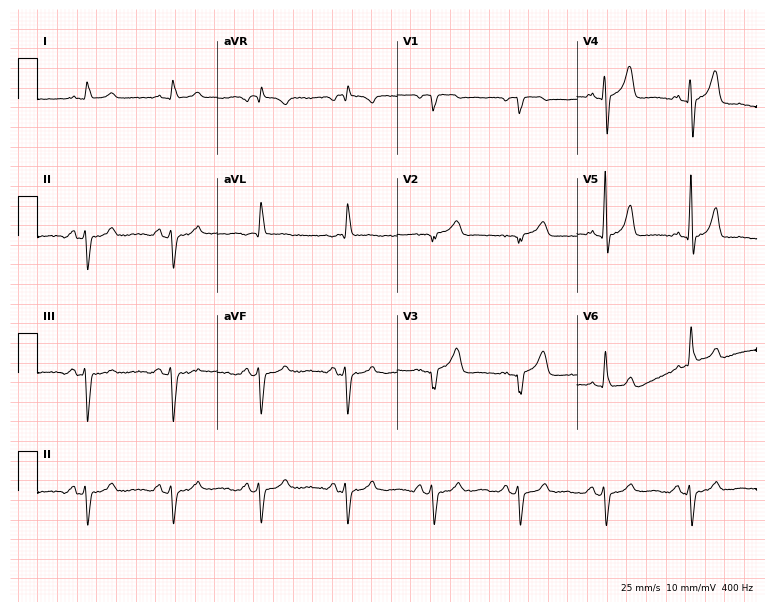
ECG (7.3-second recording at 400 Hz) — a male patient, 85 years old. Screened for six findings — first-degree AV block, right bundle branch block, left bundle branch block, sinus bradycardia, atrial fibrillation, sinus tachycardia — none is recorded. Only these six findings were labelled.